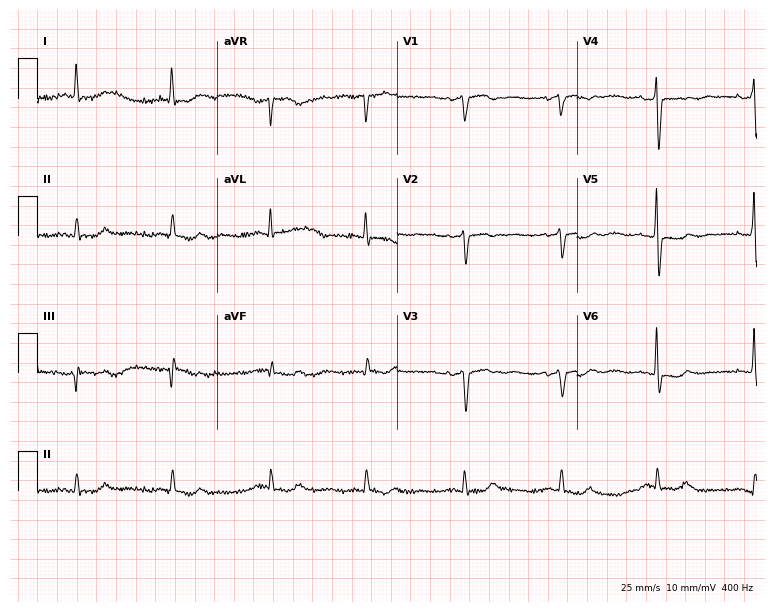
Electrocardiogram (7.3-second recording at 400 Hz), a female, 83 years old. Of the six screened findings (first-degree AV block, right bundle branch block, left bundle branch block, sinus bradycardia, atrial fibrillation, sinus tachycardia), none is recorded.